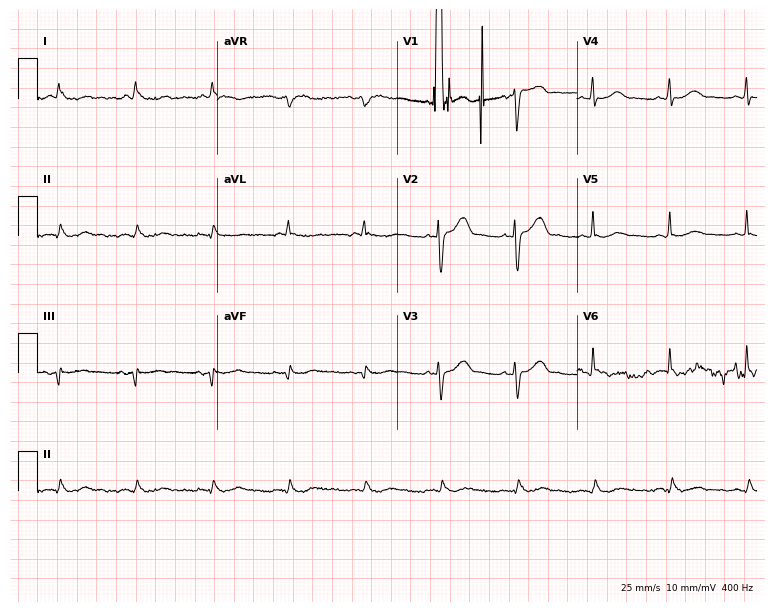
Standard 12-lead ECG recorded from a woman, 72 years old. None of these six findings is recorded: first-degree AV block, right bundle branch block, left bundle branch block, sinus bradycardia, atrial fibrillation, sinus tachycardia. Only these six findings were labelled.